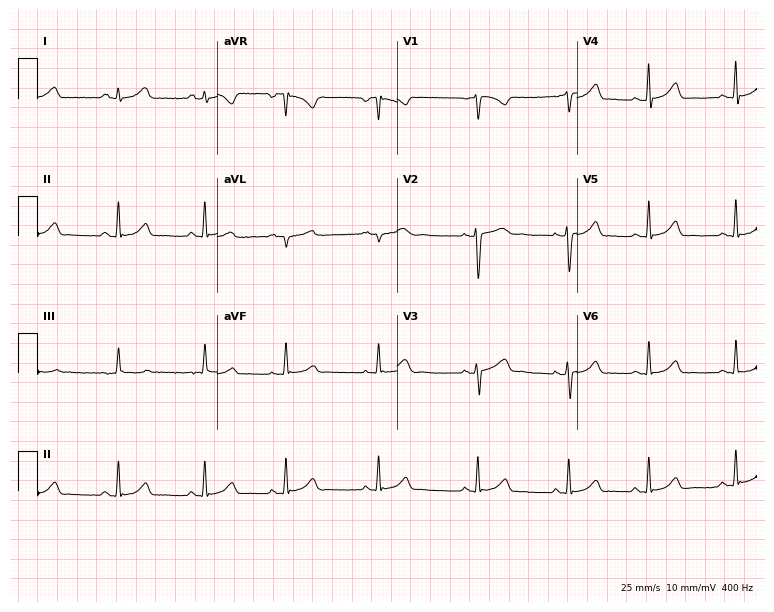
12-lead ECG from a female, 26 years old. Screened for six findings — first-degree AV block, right bundle branch block (RBBB), left bundle branch block (LBBB), sinus bradycardia, atrial fibrillation (AF), sinus tachycardia — none is recorded. Findings outside these six are not listed.